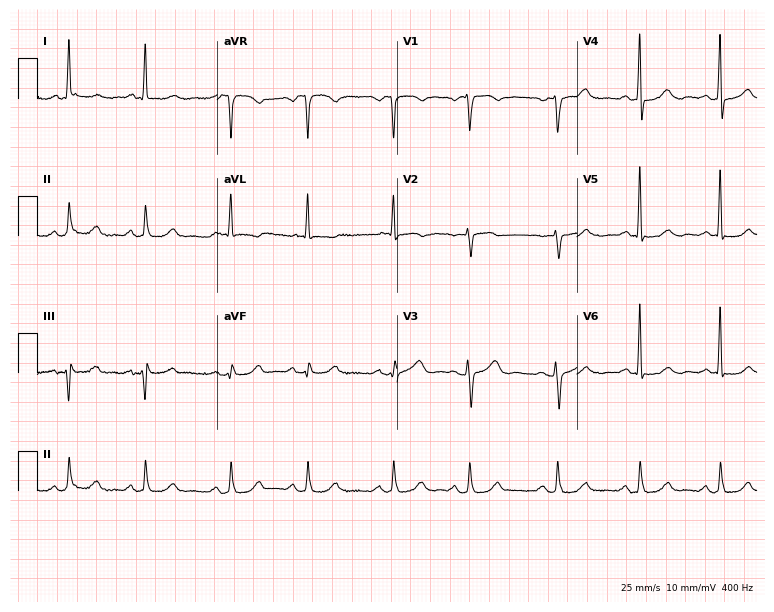
ECG (7.3-second recording at 400 Hz) — a woman, 70 years old. Screened for six findings — first-degree AV block, right bundle branch block, left bundle branch block, sinus bradycardia, atrial fibrillation, sinus tachycardia — none is recorded.